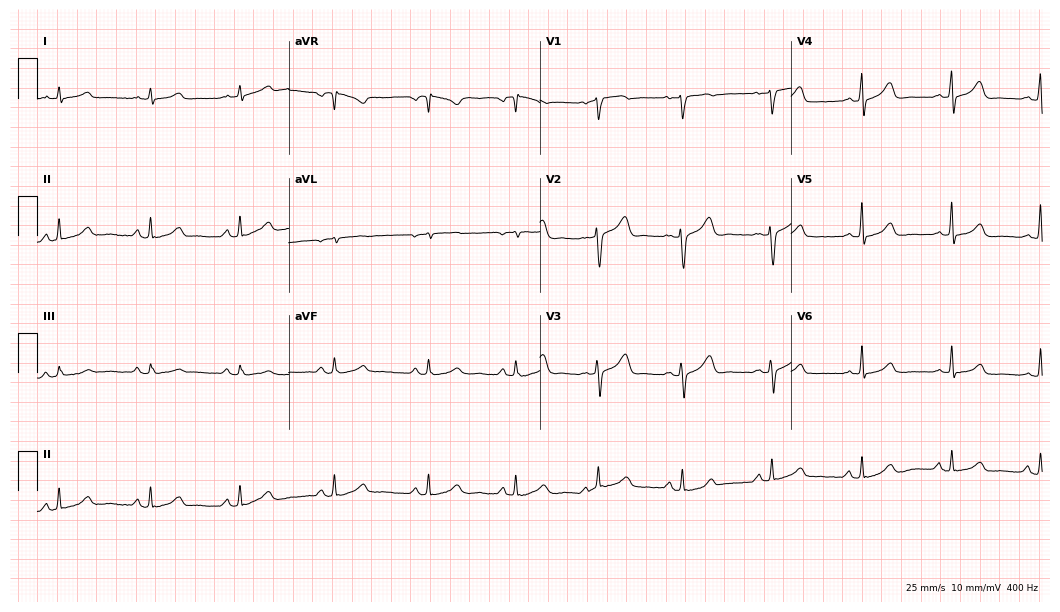
Resting 12-lead electrocardiogram (10.2-second recording at 400 Hz). Patient: a 62-year-old female. Read as a normal ECG.